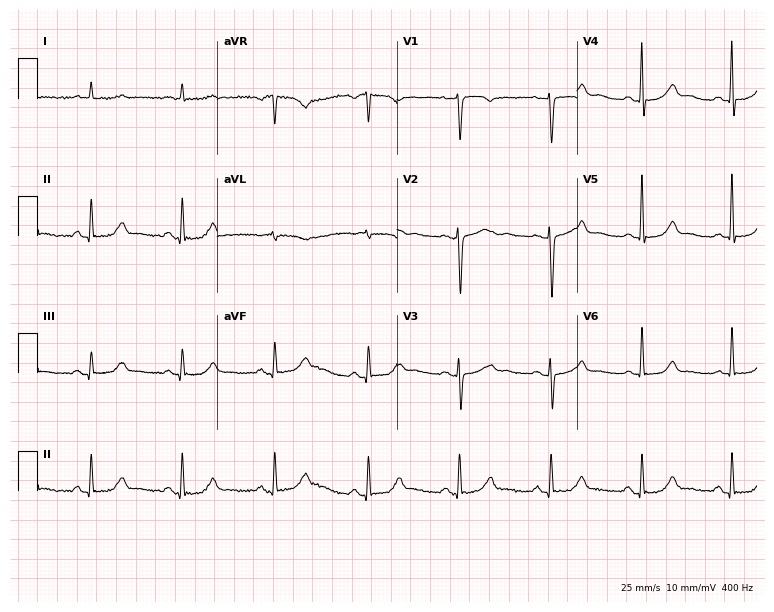
ECG — a 67-year-old woman. Labelled as a normal ECG.